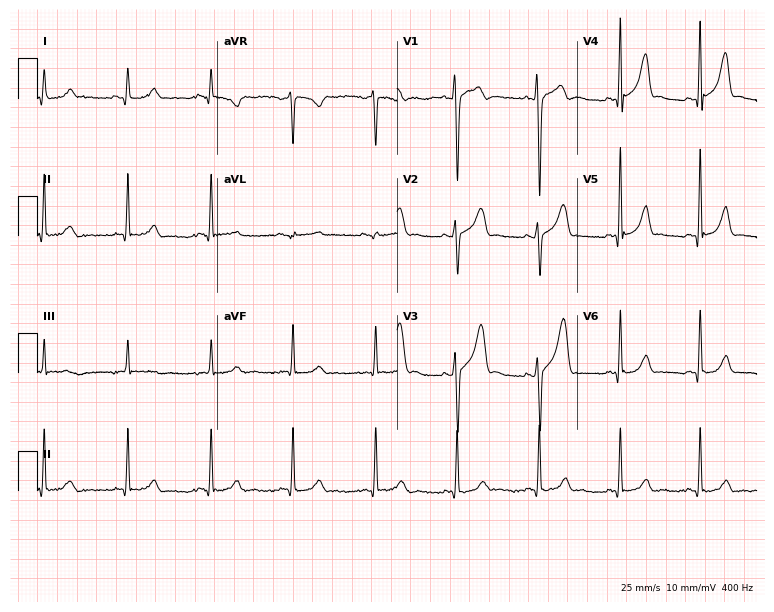
Resting 12-lead electrocardiogram (7.3-second recording at 400 Hz). Patient: a male, 22 years old. Read as a normal ECG.